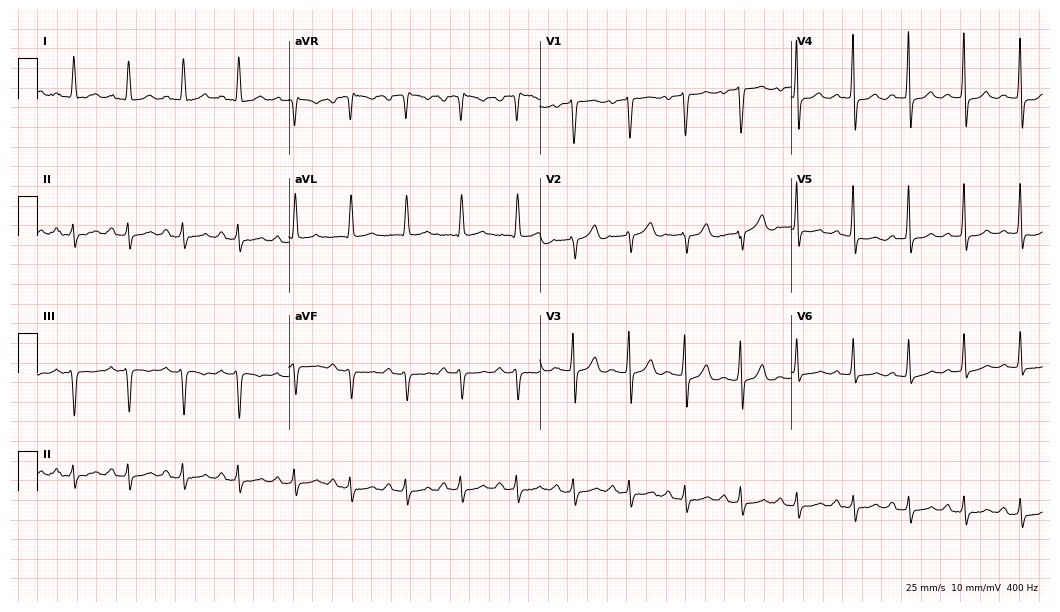
Electrocardiogram (10.2-second recording at 400 Hz), a 67-year-old female patient. Interpretation includes sinus tachycardia (a sinus rate of 100 beats per minute or more).